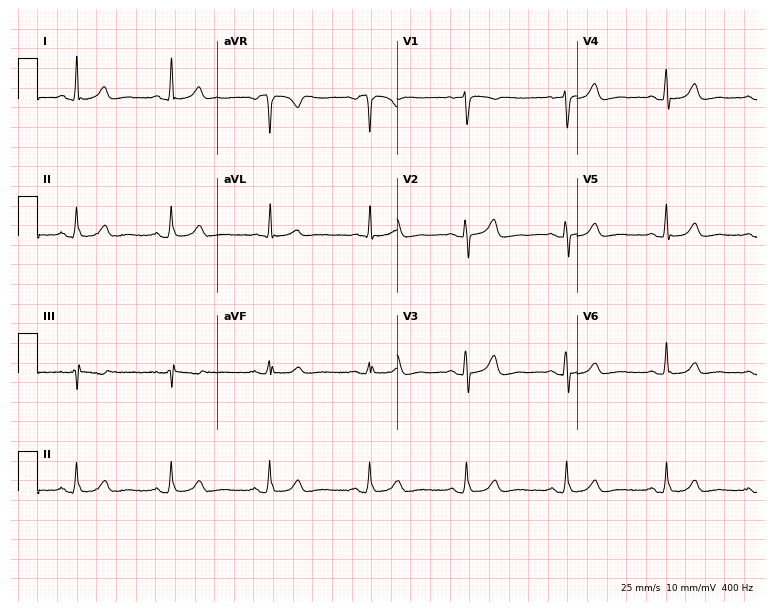
Resting 12-lead electrocardiogram (7.3-second recording at 400 Hz). Patient: a 58-year-old female. Read as a normal ECG.